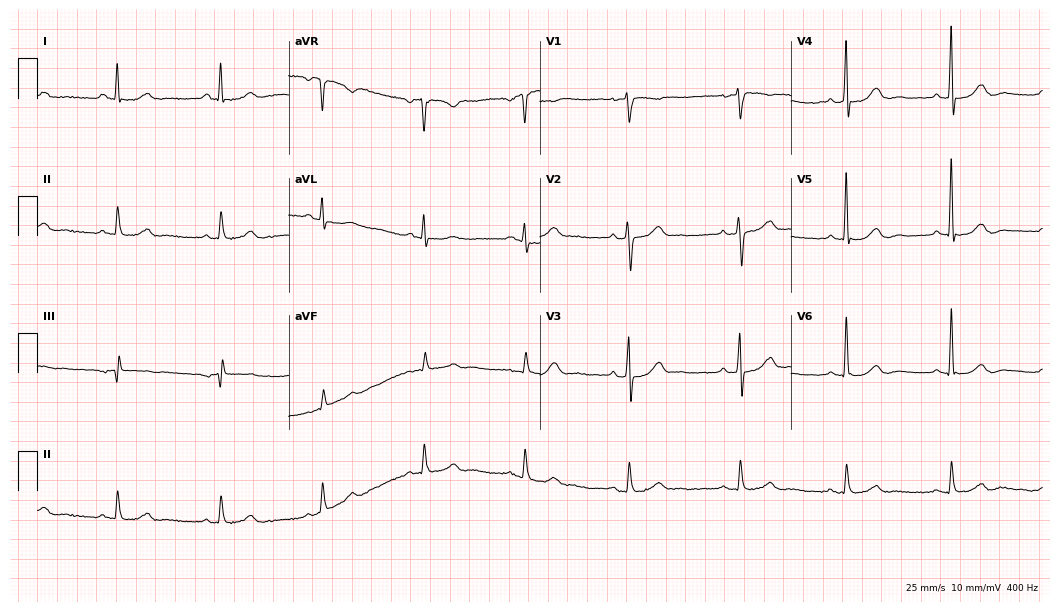
Electrocardiogram (10.2-second recording at 400 Hz), a 72-year-old male patient. Of the six screened findings (first-degree AV block, right bundle branch block (RBBB), left bundle branch block (LBBB), sinus bradycardia, atrial fibrillation (AF), sinus tachycardia), none is recorded. Other findings, if any, are not listed.